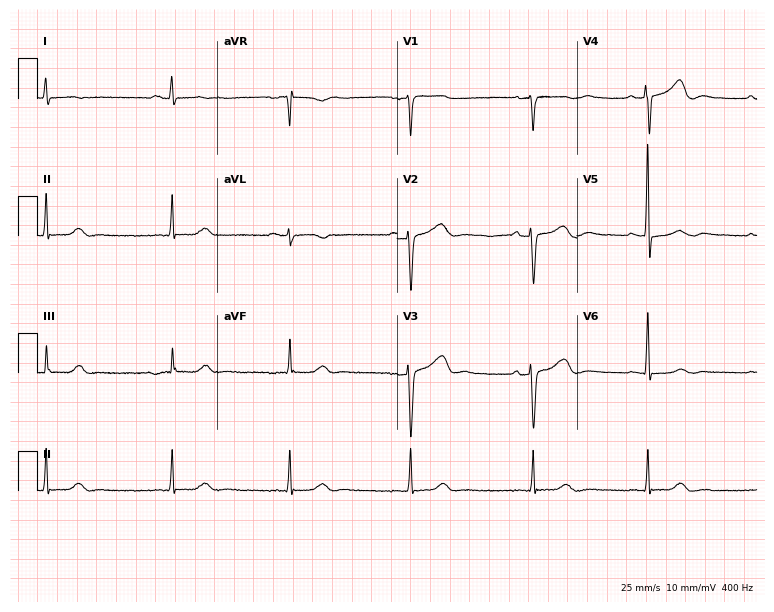
Resting 12-lead electrocardiogram. Patient: a female, 65 years old. The tracing shows sinus bradycardia (a sinus rate of 50 beats per minute or less).